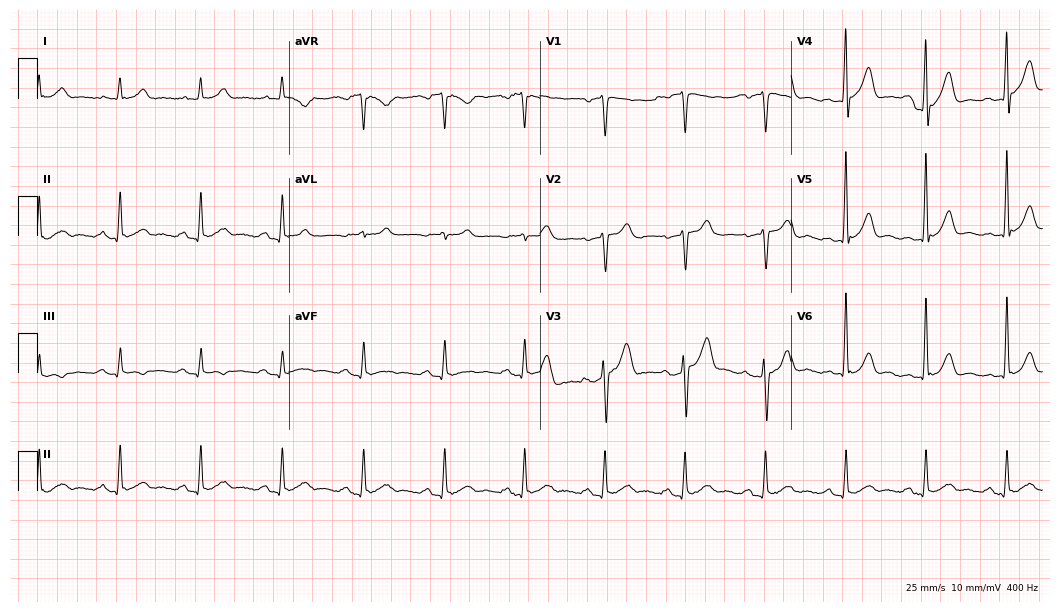
Resting 12-lead electrocardiogram (10.2-second recording at 400 Hz). Patient: a 61-year-old man. Read as a normal ECG.